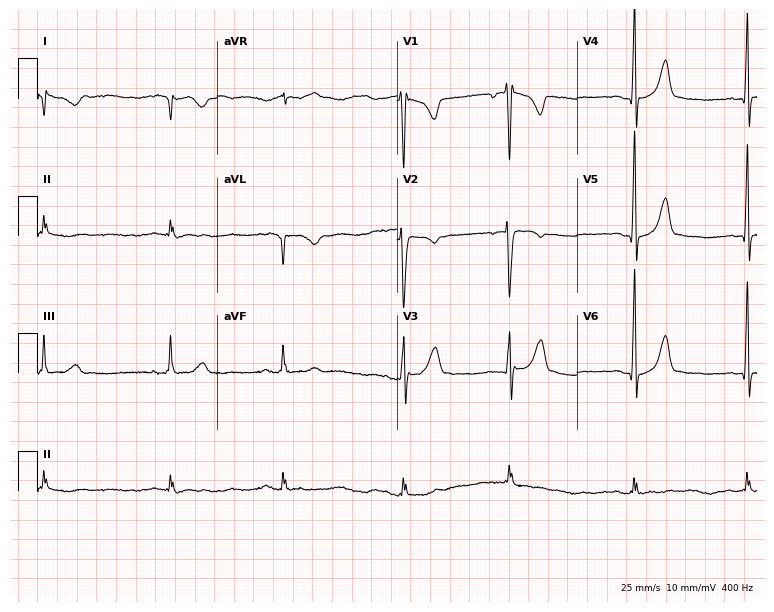
ECG (7.3-second recording at 400 Hz) — a male patient, 17 years old. Labelled as a normal ECG.